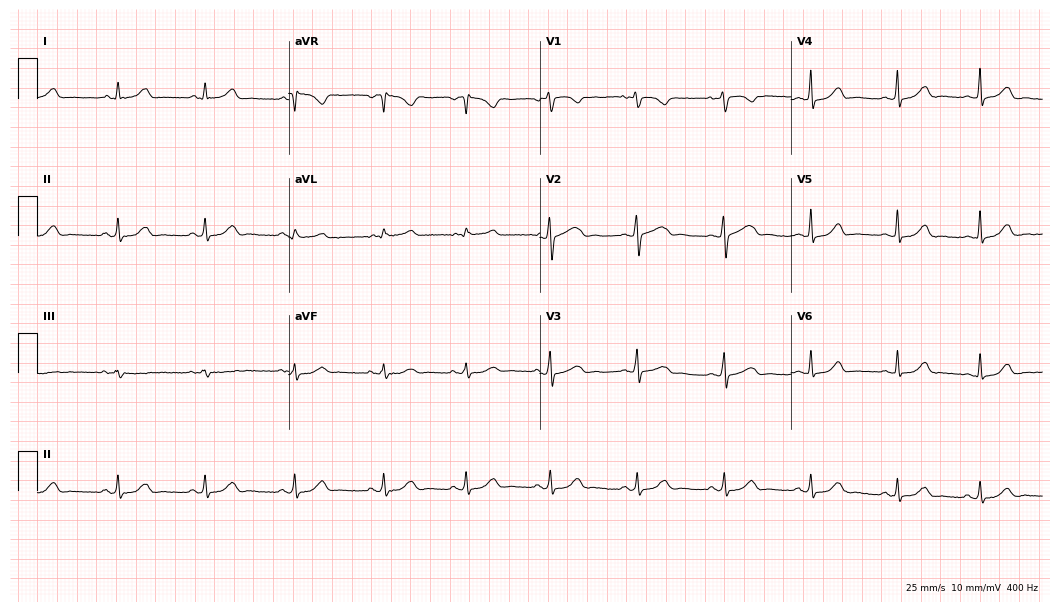
12-lead ECG from a 28-year-old female. Labelled as a normal ECG.